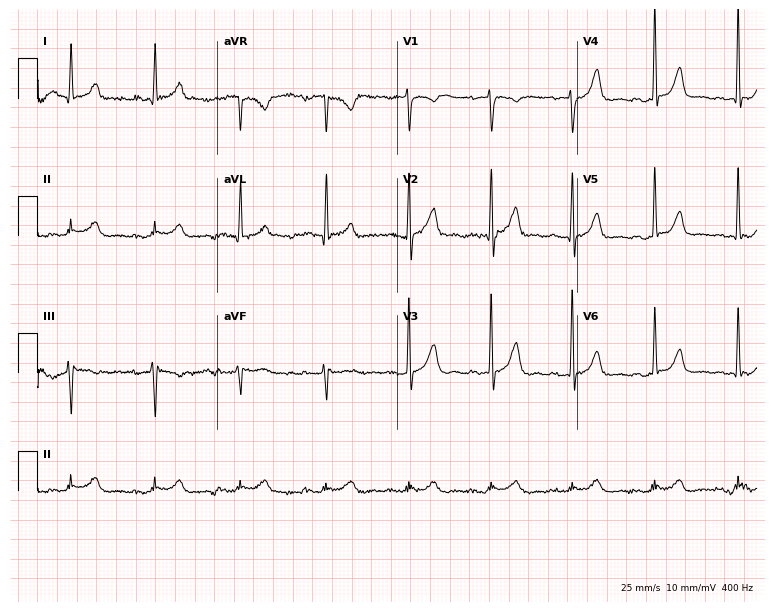
Electrocardiogram, a 69-year-old male. Overall reading on record: normal ECG.